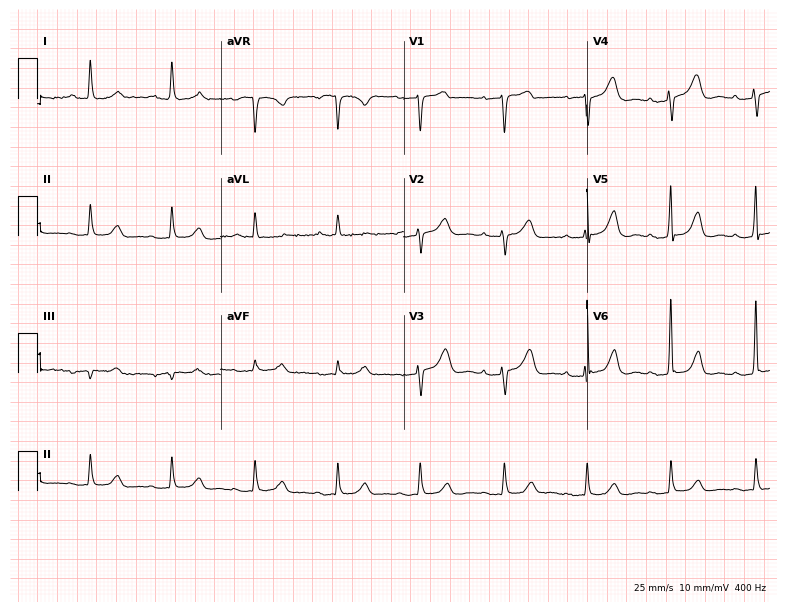
12-lead ECG from an 85-year-old female patient (7.5-second recording at 400 Hz). Shows first-degree AV block.